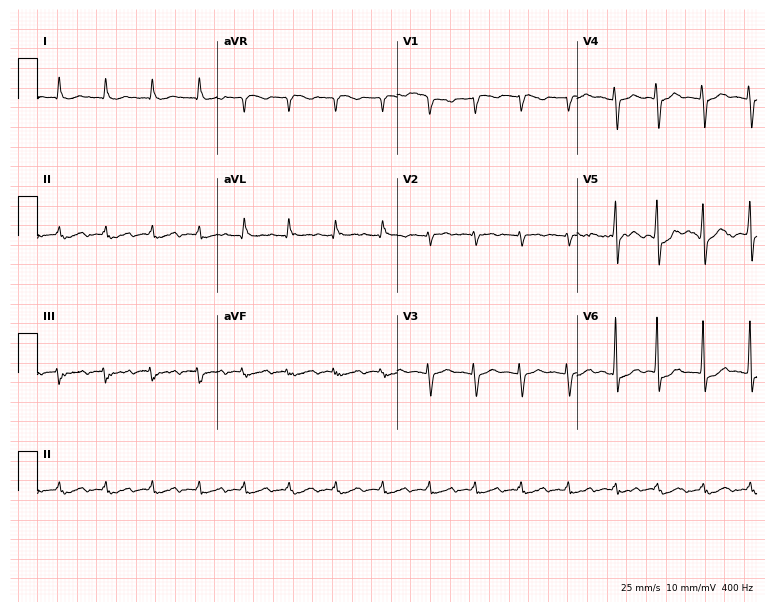
ECG — an 81-year-old man. Findings include atrial fibrillation (AF).